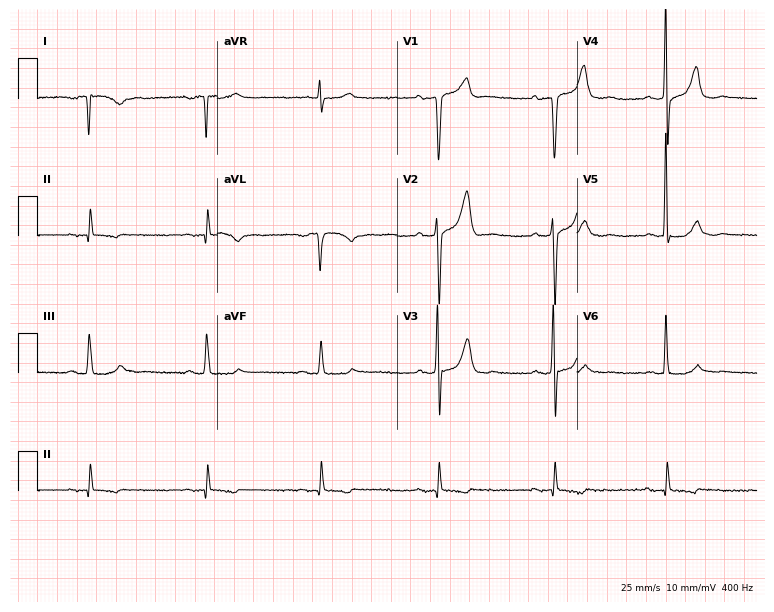
ECG — a 70-year-old male. Screened for six findings — first-degree AV block, right bundle branch block, left bundle branch block, sinus bradycardia, atrial fibrillation, sinus tachycardia — none is recorded. Only these six findings were labelled.